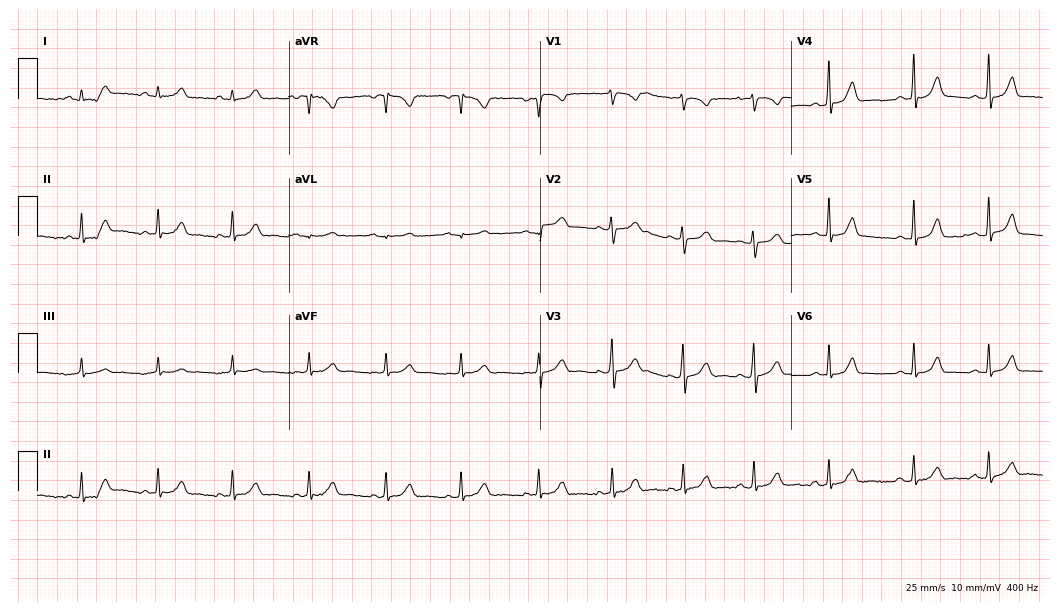
Resting 12-lead electrocardiogram. Patient: a 20-year-old woman. Read as a normal ECG.